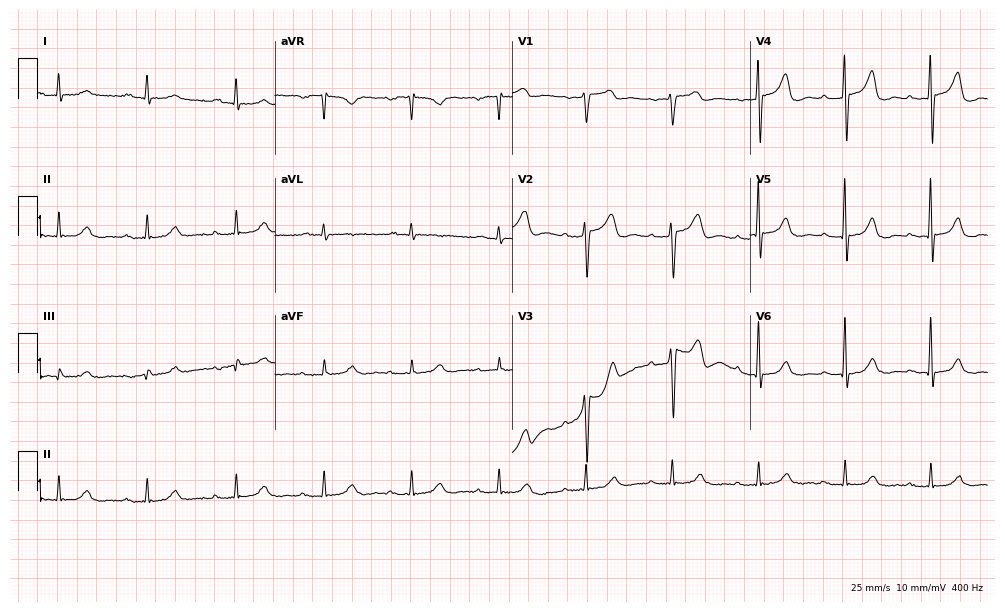
Electrocardiogram (9.7-second recording at 400 Hz), a man, 80 years old. Of the six screened findings (first-degree AV block, right bundle branch block, left bundle branch block, sinus bradycardia, atrial fibrillation, sinus tachycardia), none is recorded.